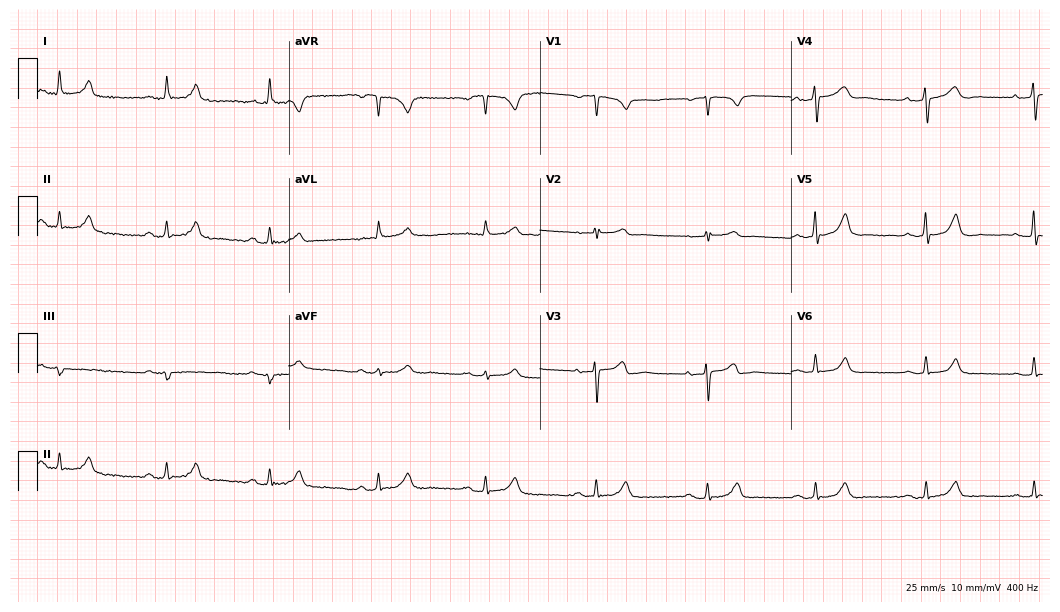
ECG (10.2-second recording at 400 Hz) — a man, 55 years old. Labelled as a normal ECG.